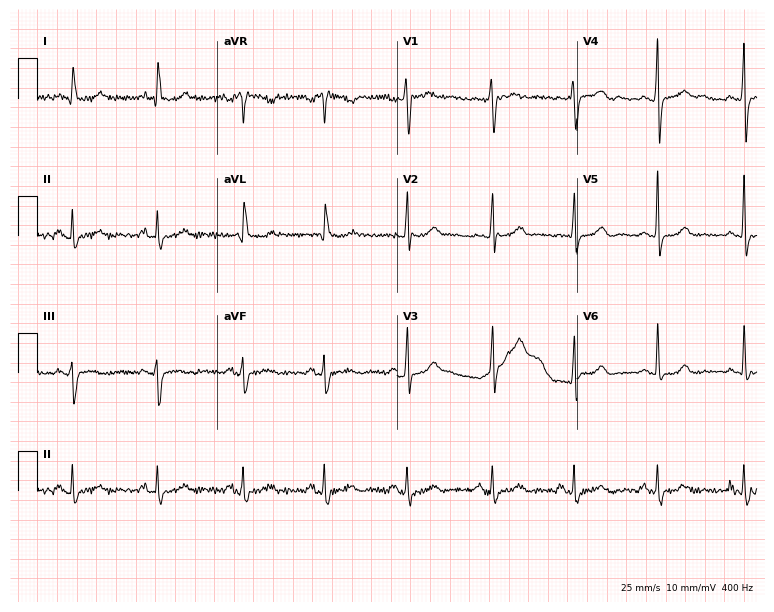
Resting 12-lead electrocardiogram (7.3-second recording at 400 Hz). Patient: a 41-year-old female. None of these six findings is recorded: first-degree AV block, right bundle branch block, left bundle branch block, sinus bradycardia, atrial fibrillation, sinus tachycardia. Findings outside these six are not listed.